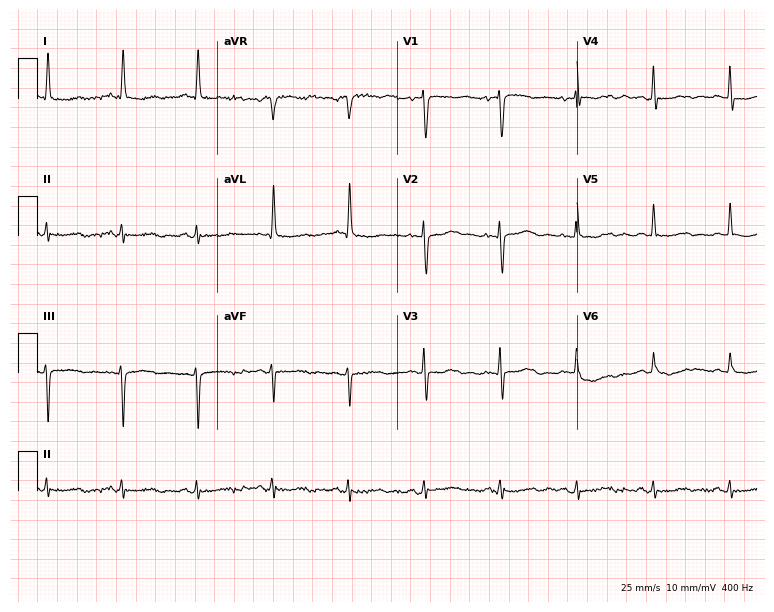
Standard 12-lead ECG recorded from a woman, 82 years old (7.3-second recording at 400 Hz). Read as a normal ECG.